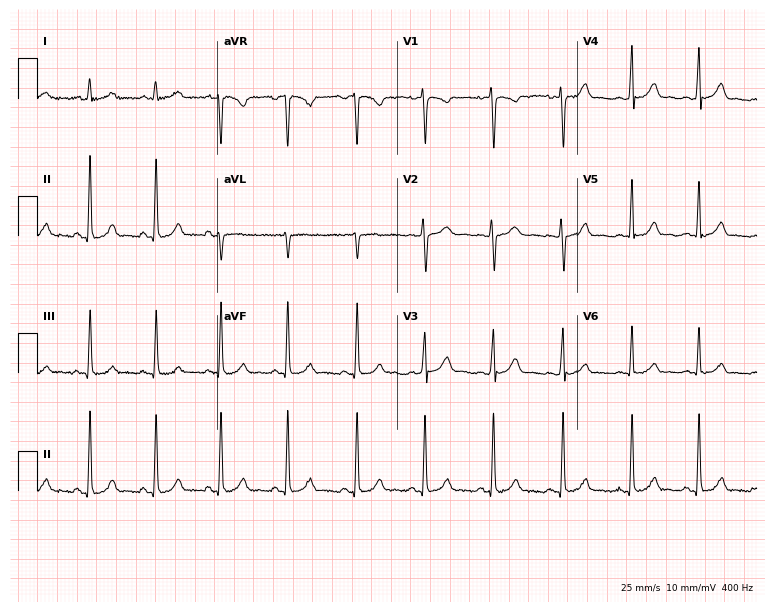
ECG (7.3-second recording at 400 Hz) — a female patient, 20 years old. Screened for six findings — first-degree AV block, right bundle branch block, left bundle branch block, sinus bradycardia, atrial fibrillation, sinus tachycardia — none is recorded. Other findings, if any, are not listed.